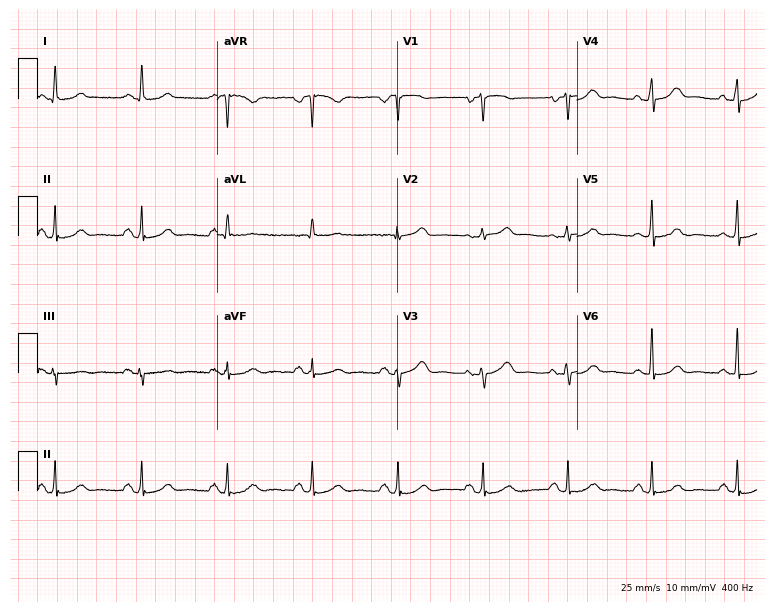
12-lead ECG (7.3-second recording at 400 Hz) from a 60-year-old female patient. Screened for six findings — first-degree AV block, right bundle branch block, left bundle branch block, sinus bradycardia, atrial fibrillation, sinus tachycardia — none is recorded. Only these six findings were labelled.